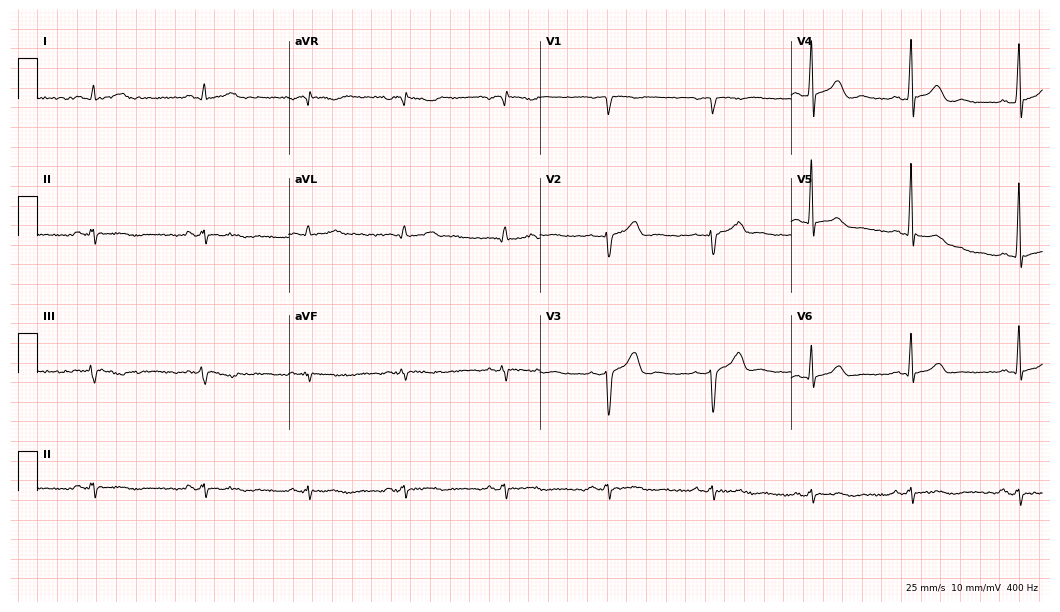
Electrocardiogram (10.2-second recording at 400 Hz), a male, 37 years old. Overall reading on record: normal ECG.